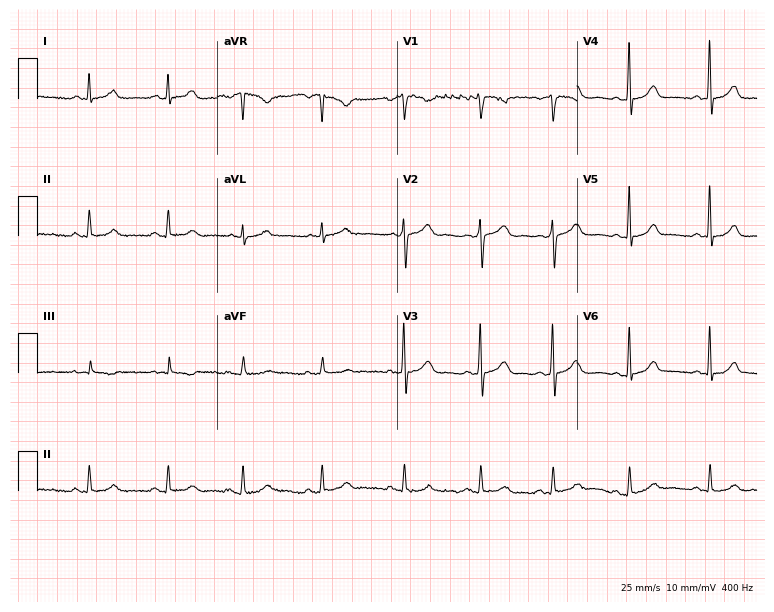
12-lead ECG from a woman, 31 years old. Labelled as a normal ECG.